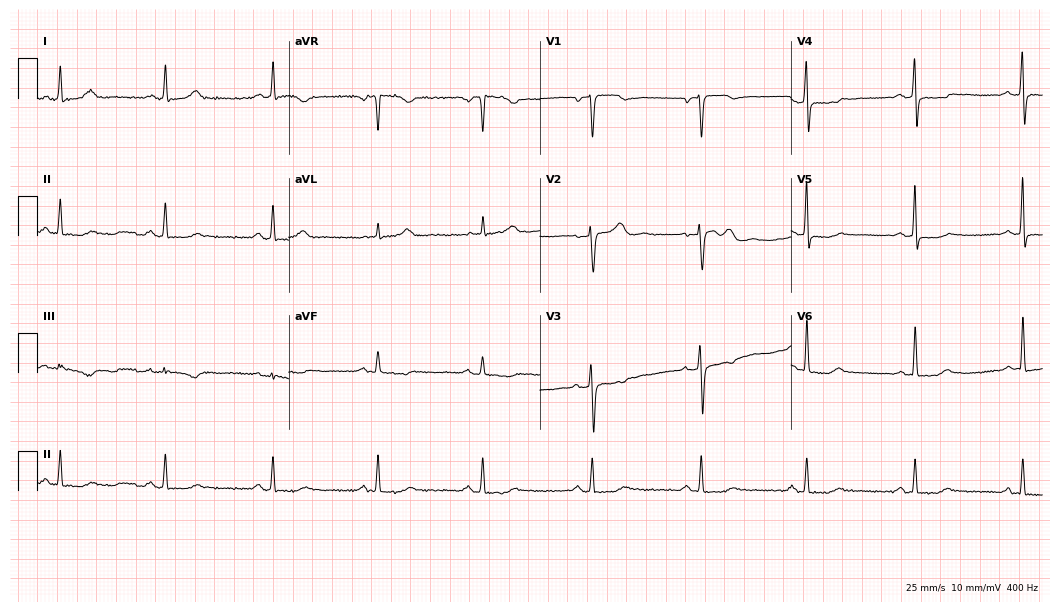
Resting 12-lead electrocardiogram (10.2-second recording at 400 Hz). Patient: a 56-year-old female. None of these six findings is recorded: first-degree AV block, right bundle branch block, left bundle branch block, sinus bradycardia, atrial fibrillation, sinus tachycardia. Only these six findings were labelled.